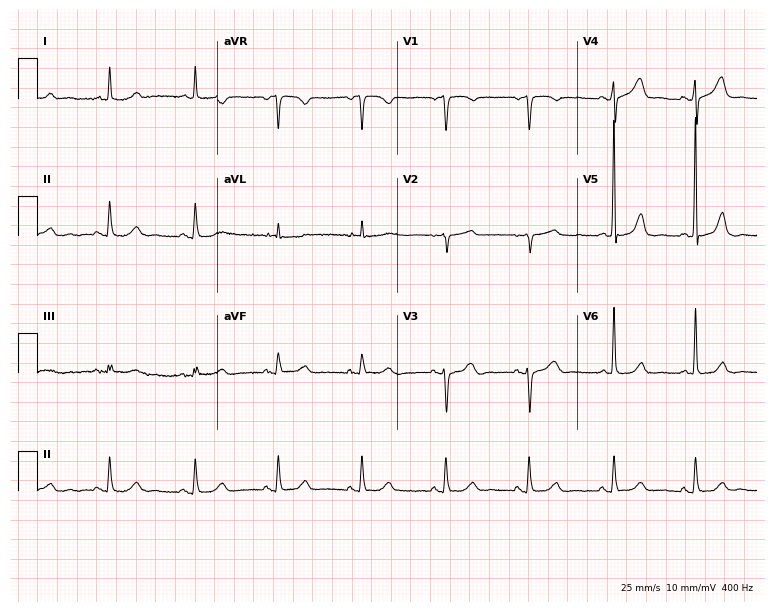
Resting 12-lead electrocardiogram. Patient: a female, 82 years old. None of these six findings is recorded: first-degree AV block, right bundle branch block, left bundle branch block, sinus bradycardia, atrial fibrillation, sinus tachycardia.